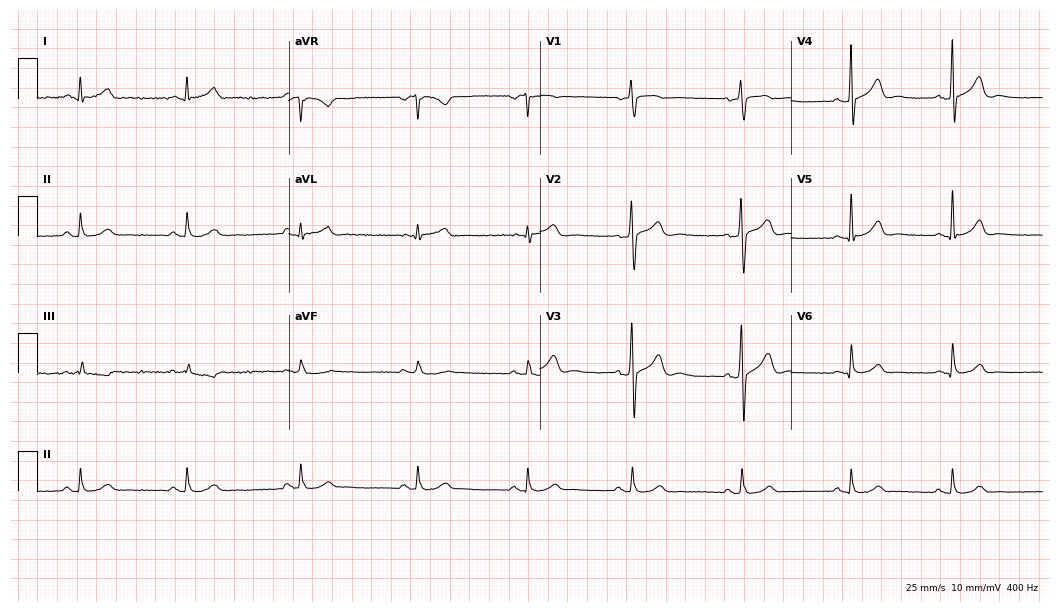
Electrocardiogram, a male patient, 42 years old. Of the six screened findings (first-degree AV block, right bundle branch block (RBBB), left bundle branch block (LBBB), sinus bradycardia, atrial fibrillation (AF), sinus tachycardia), none is recorded.